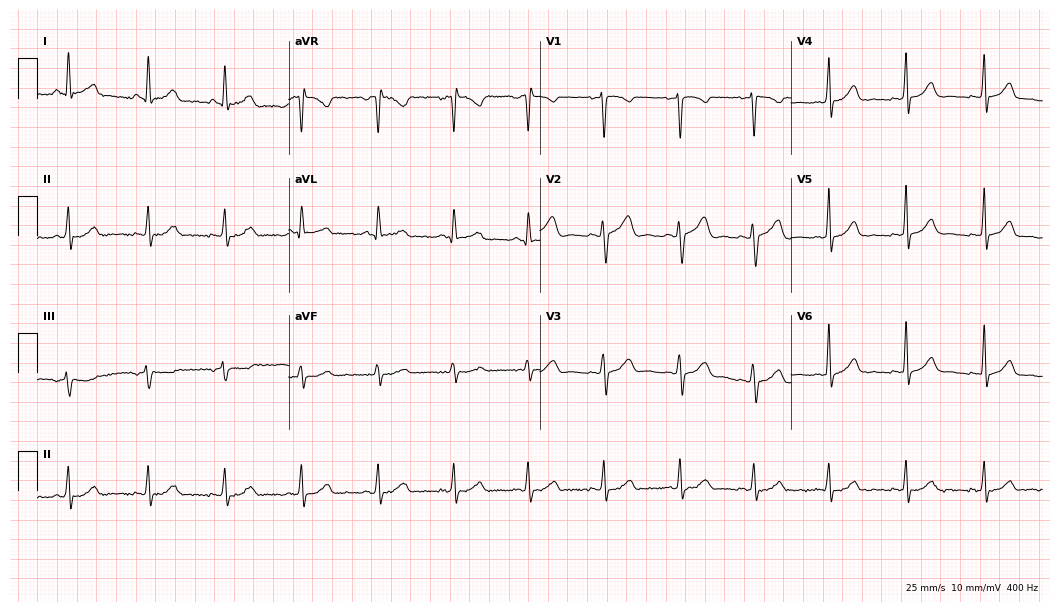
Standard 12-lead ECG recorded from a 45-year-old female. Read as a normal ECG.